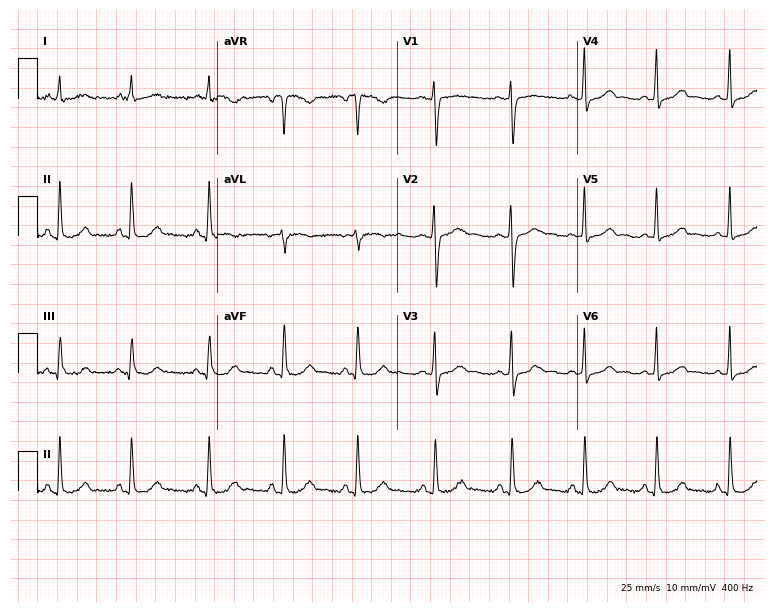
12-lead ECG from a 38-year-old woman. Labelled as a normal ECG.